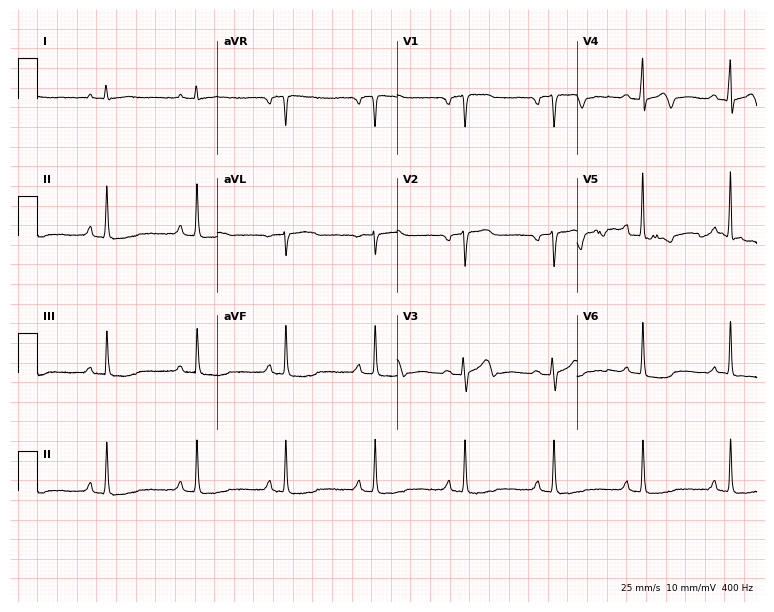
Standard 12-lead ECG recorded from a female, 58 years old (7.3-second recording at 400 Hz). None of these six findings is recorded: first-degree AV block, right bundle branch block, left bundle branch block, sinus bradycardia, atrial fibrillation, sinus tachycardia.